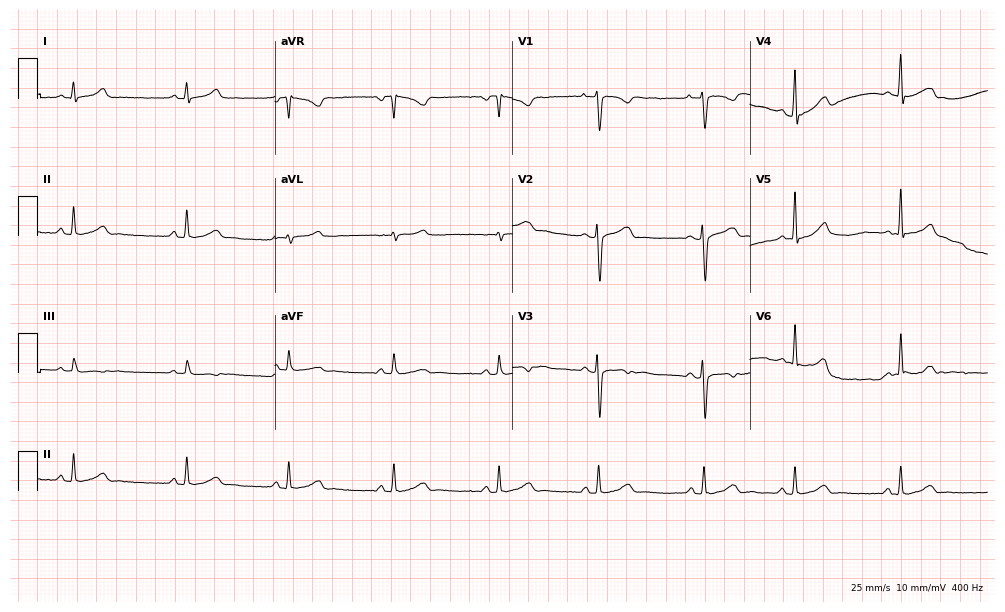
ECG — a 17-year-old female patient. Labelled as a normal ECG.